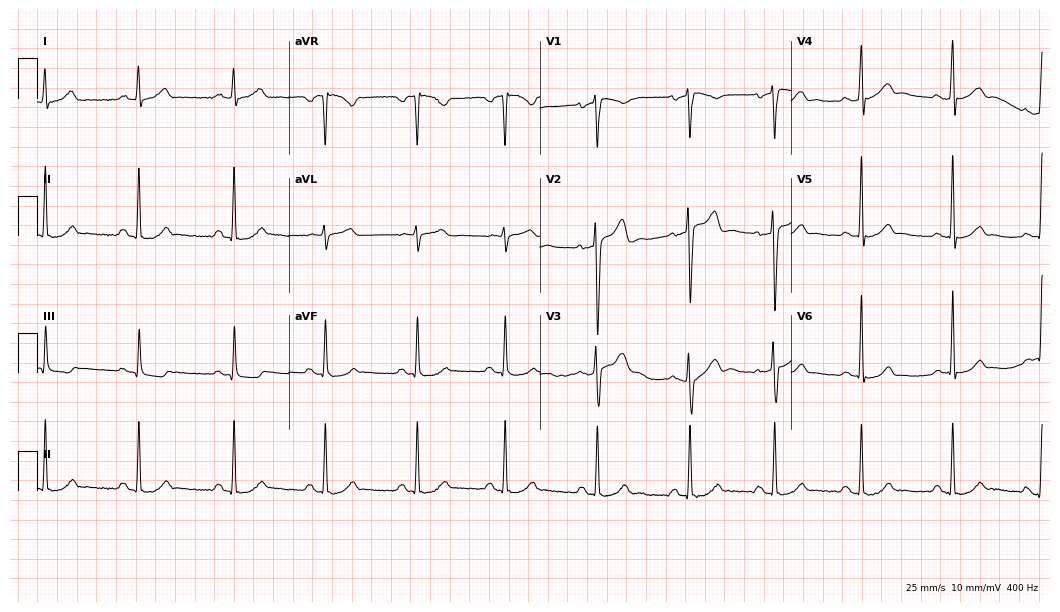
12-lead ECG from a male patient, 34 years old. Labelled as a normal ECG.